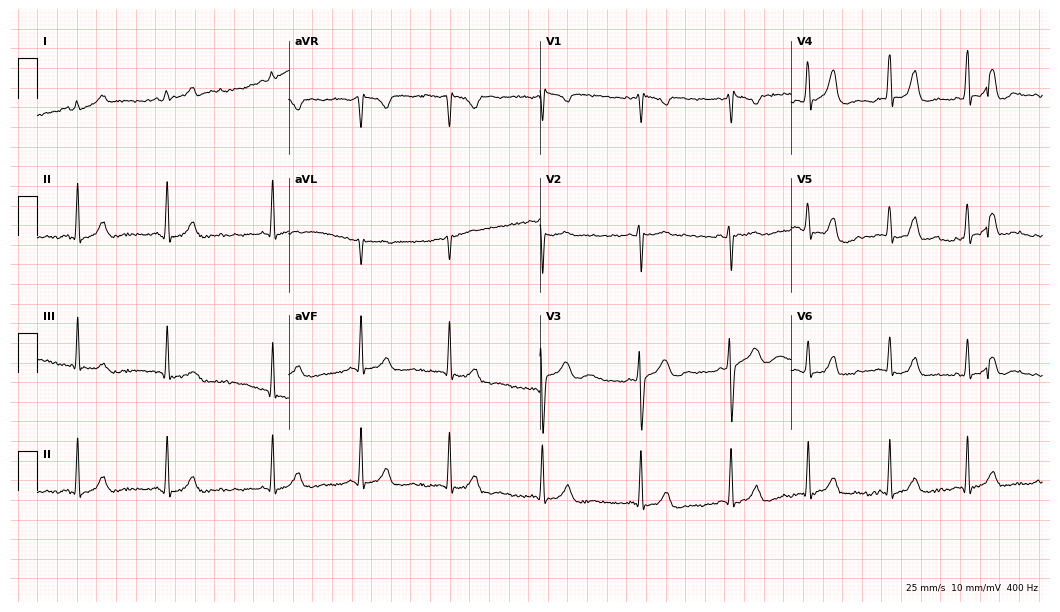
ECG (10.2-second recording at 400 Hz) — a 21-year-old woman. Screened for six findings — first-degree AV block, right bundle branch block (RBBB), left bundle branch block (LBBB), sinus bradycardia, atrial fibrillation (AF), sinus tachycardia — none is recorded. Only these six findings were labelled.